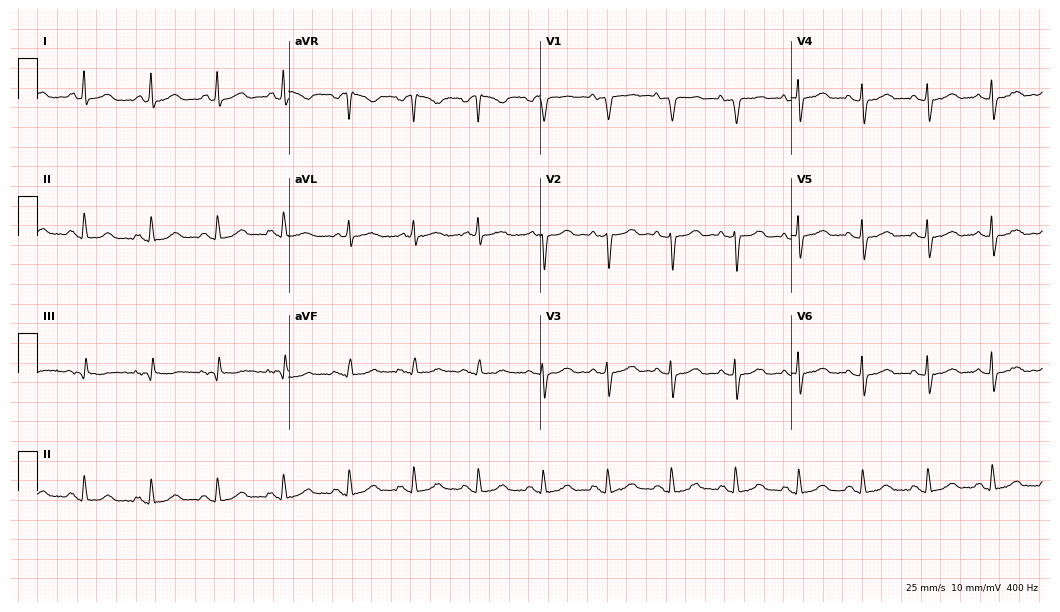
12-lead ECG from an 84-year-old man (10.2-second recording at 400 Hz). Recorded interpretation: within normal limits.